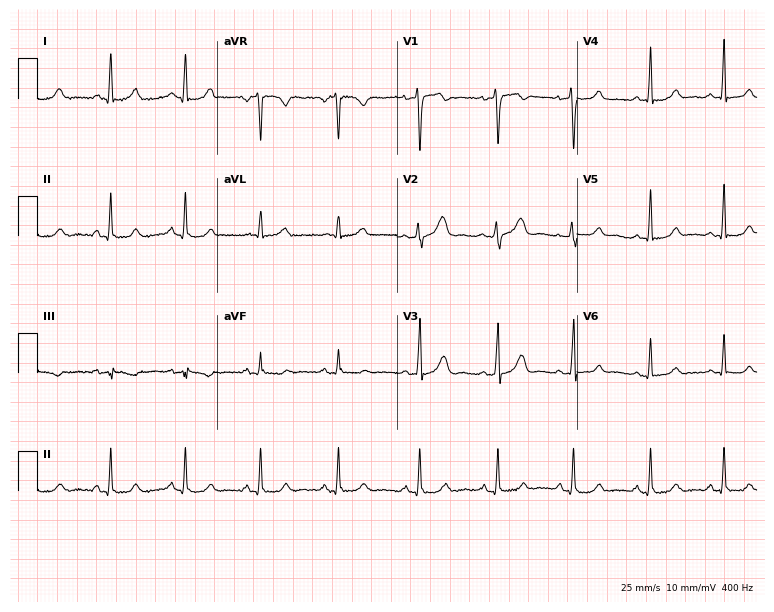
Standard 12-lead ECG recorded from a 45-year-old female patient. None of these six findings is recorded: first-degree AV block, right bundle branch block (RBBB), left bundle branch block (LBBB), sinus bradycardia, atrial fibrillation (AF), sinus tachycardia.